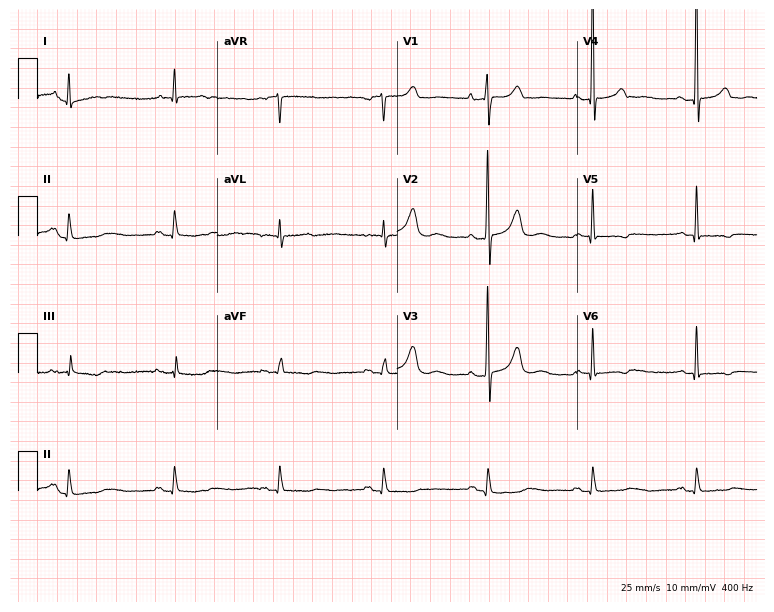
ECG (7.3-second recording at 400 Hz) — a male patient, 69 years old. Labelled as a normal ECG.